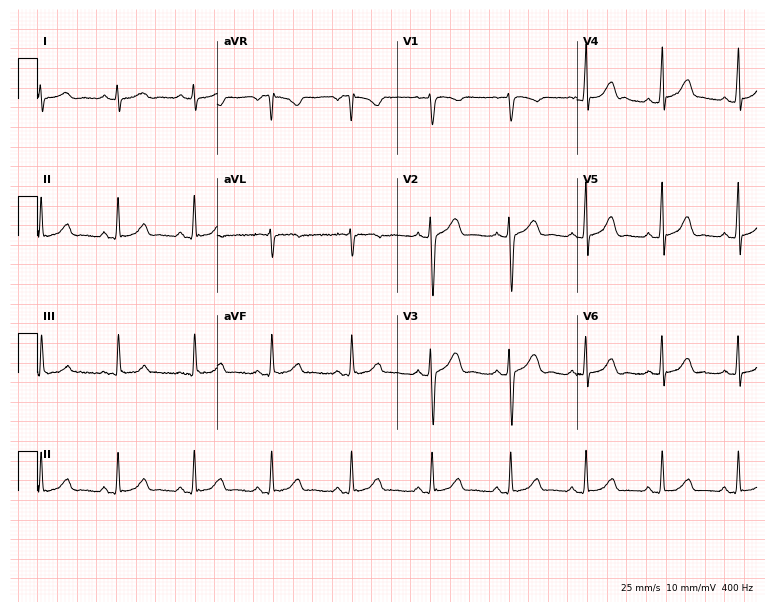
Standard 12-lead ECG recorded from a woman, 30 years old (7.3-second recording at 400 Hz). Read as a normal ECG.